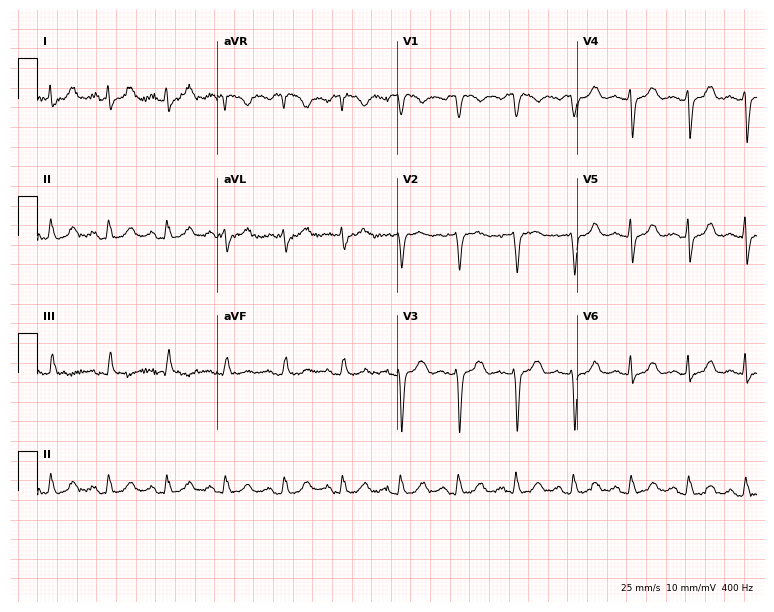
12-lead ECG (7.3-second recording at 400 Hz) from a 50-year-old female. Findings include sinus tachycardia (a sinus rate of 100 beats per minute or more).